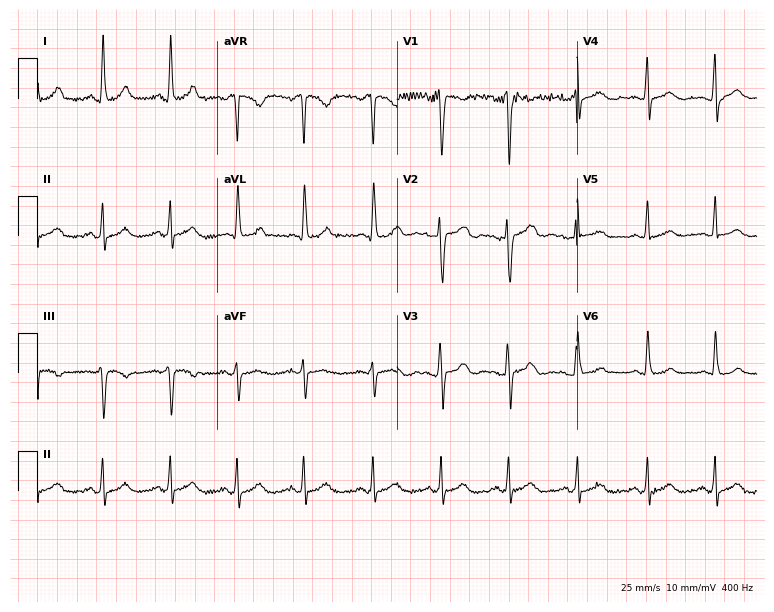
ECG — a female patient, 34 years old. Screened for six findings — first-degree AV block, right bundle branch block (RBBB), left bundle branch block (LBBB), sinus bradycardia, atrial fibrillation (AF), sinus tachycardia — none is recorded. Other findings, if any, are not listed.